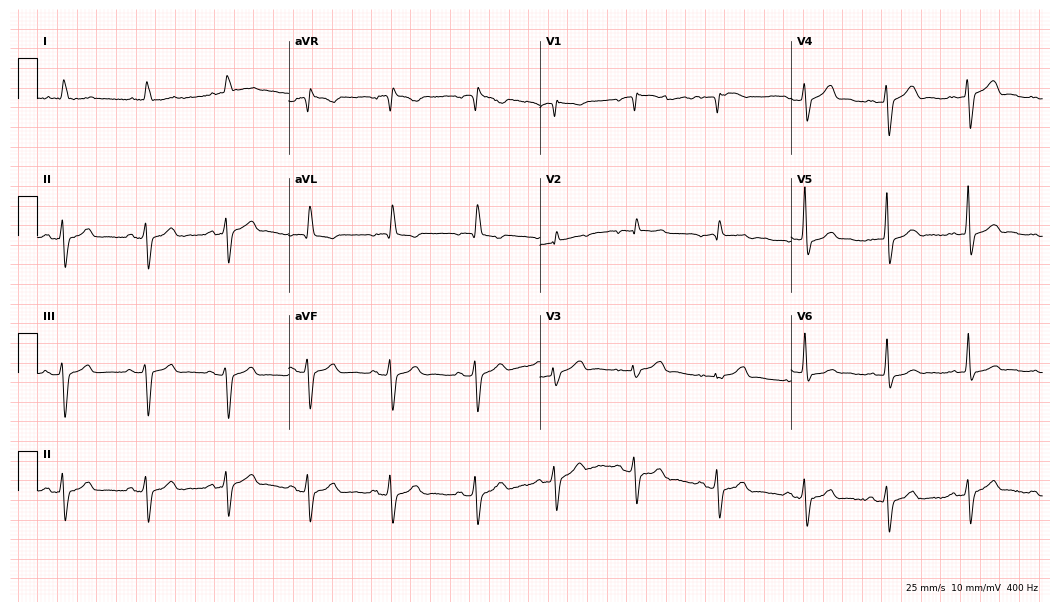
ECG (10.2-second recording at 400 Hz) — a 71-year-old man. Screened for six findings — first-degree AV block, right bundle branch block (RBBB), left bundle branch block (LBBB), sinus bradycardia, atrial fibrillation (AF), sinus tachycardia — none is recorded. Only these six findings were labelled.